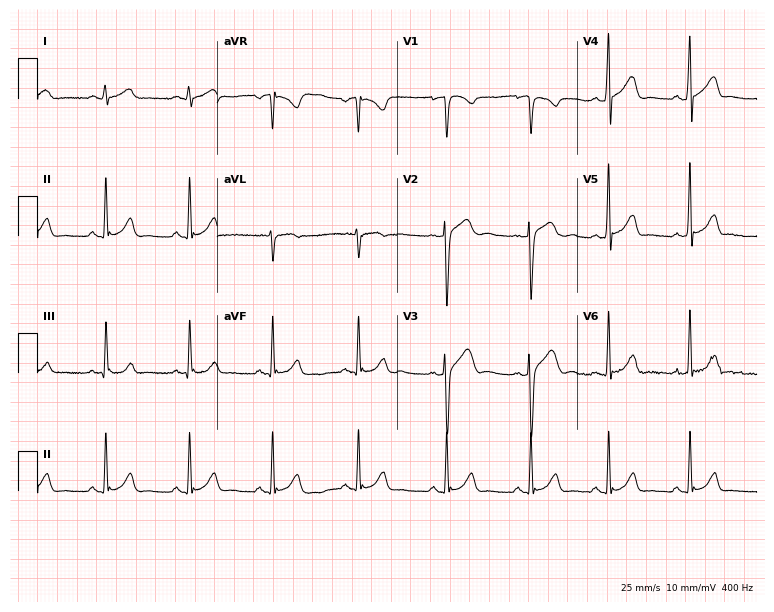
12-lead ECG from a man, 27 years old (7.3-second recording at 400 Hz). Recorded interpretation: within normal limits.